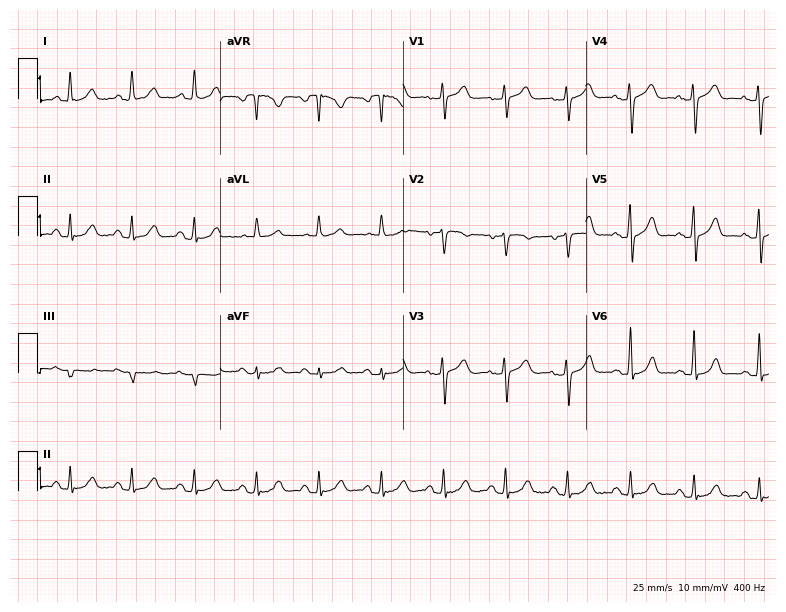
ECG — a 79-year-old female patient. Labelled as a normal ECG.